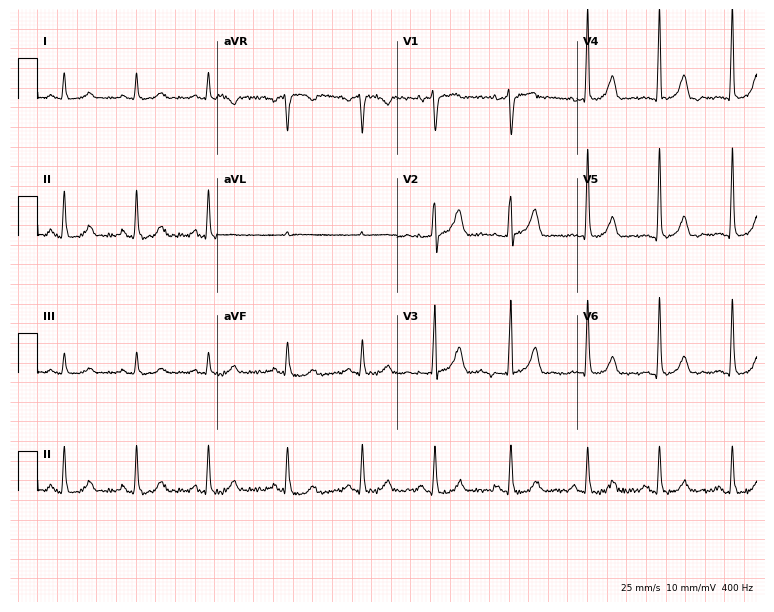
ECG (7.3-second recording at 400 Hz) — a 55-year-old female. Screened for six findings — first-degree AV block, right bundle branch block, left bundle branch block, sinus bradycardia, atrial fibrillation, sinus tachycardia — none is recorded.